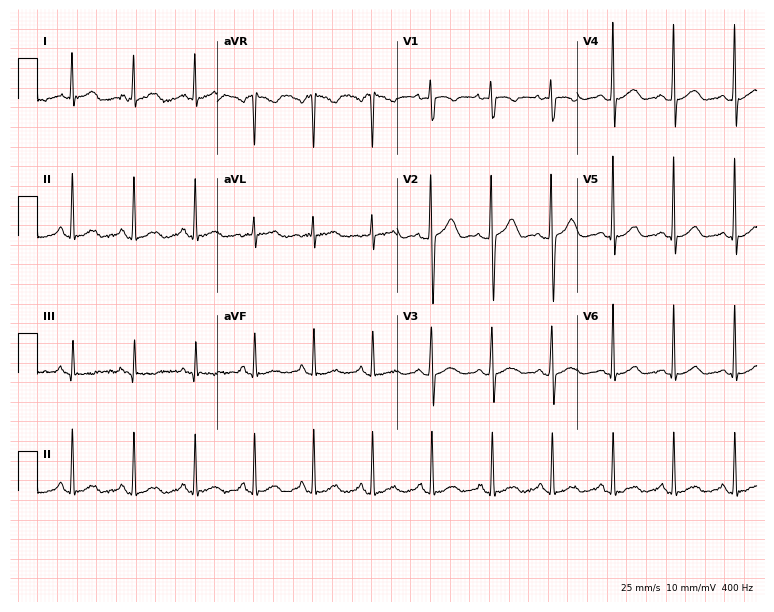
12-lead ECG from a 26-year-old woman. Screened for six findings — first-degree AV block, right bundle branch block, left bundle branch block, sinus bradycardia, atrial fibrillation, sinus tachycardia — none is recorded.